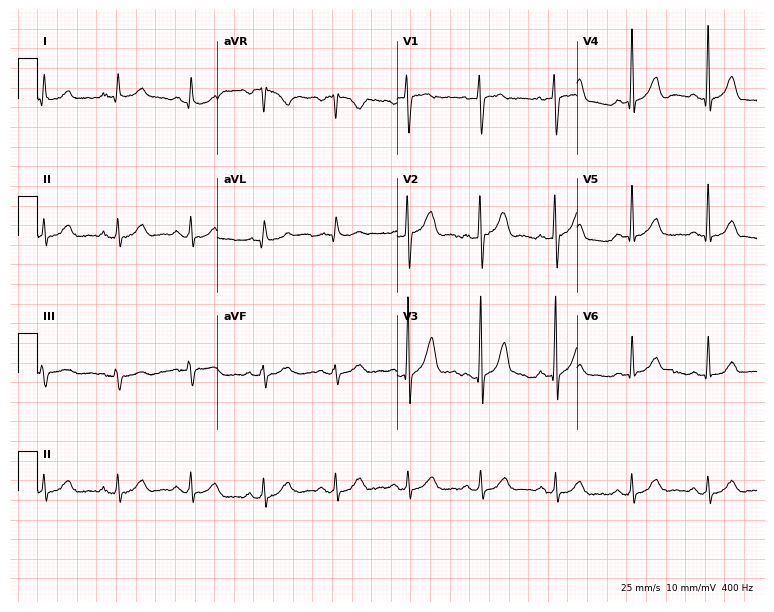
12-lead ECG from a woman, 37 years old. No first-degree AV block, right bundle branch block (RBBB), left bundle branch block (LBBB), sinus bradycardia, atrial fibrillation (AF) or sinus tachycardia recorded for this tracing.